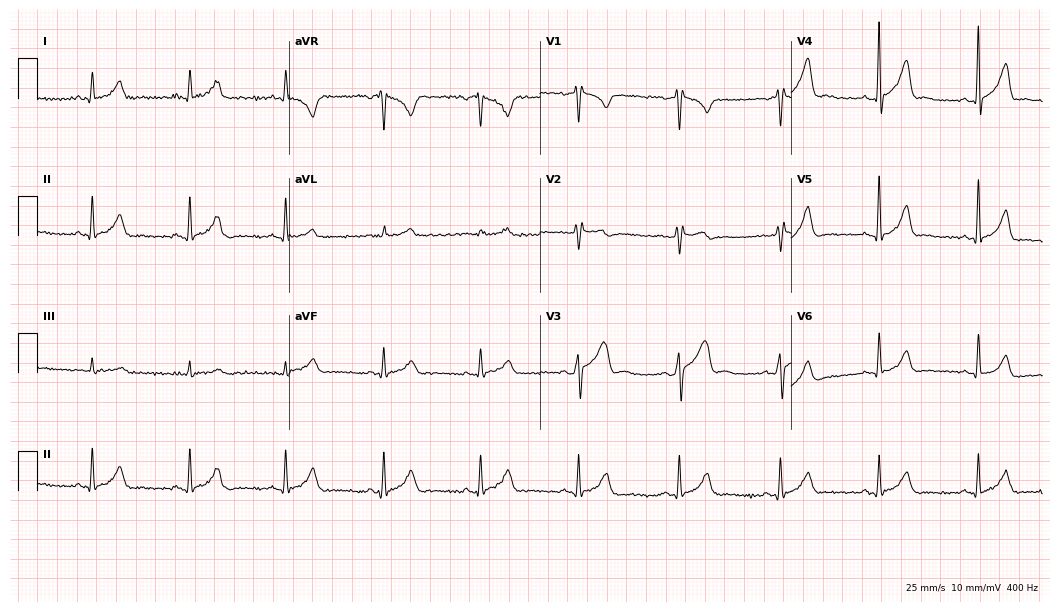
12-lead ECG from a 36-year-old male. Screened for six findings — first-degree AV block, right bundle branch block, left bundle branch block, sinus bradycardia, atrial fibrillation, sinus tachycardia — none is recorded.